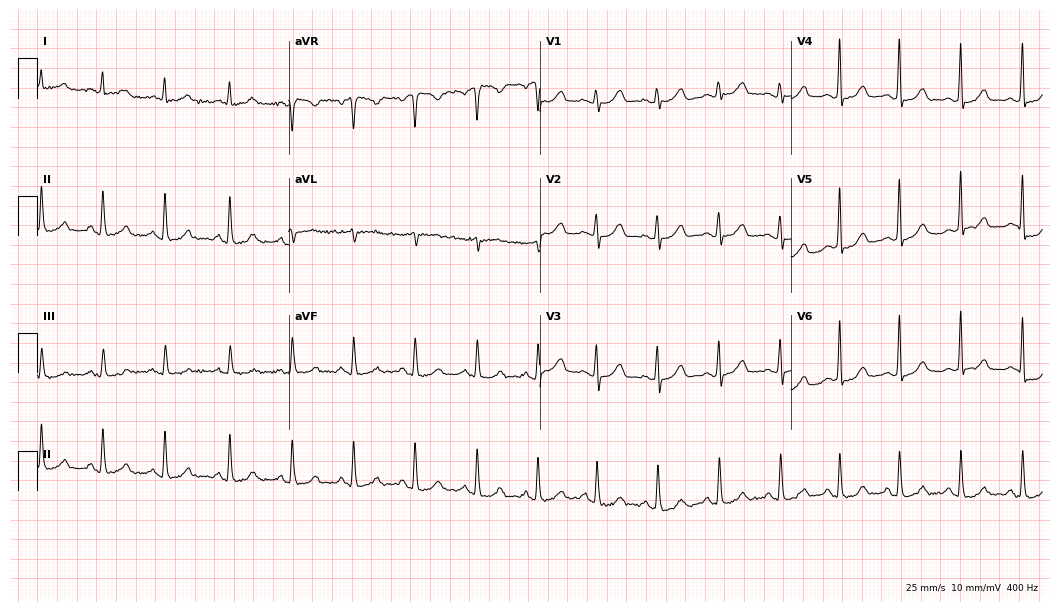
ECG (10.2-second recording at 400 Hz) — a 32-year-old female. Screened for six findings — first-degree AV block, right bundle branch block, left bundle branch block, sinus bradycardia, atrial fibrillation, sinus tachycardia — none is recorded. Other findings, if any, are not listed.